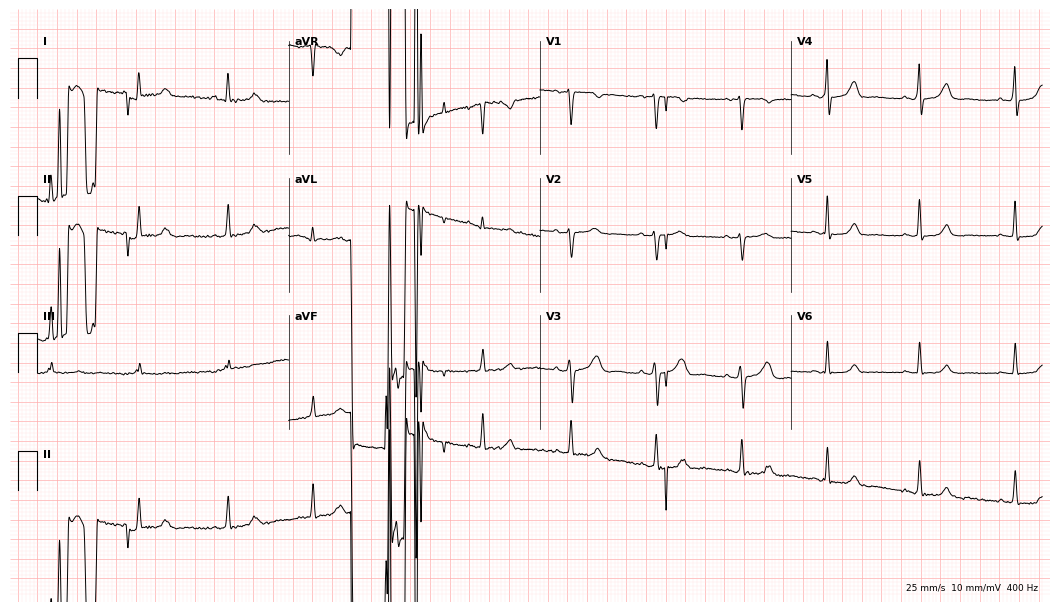
Electrocardiogram, a 49-year-old female patient. Of the six screened findings (first-degree AV block, right bundle branch block, left bundle branch block, sinus bradycardia, atrial fibrillation, sinus tachycardia), none is recorded. Only these six findings were labelled.